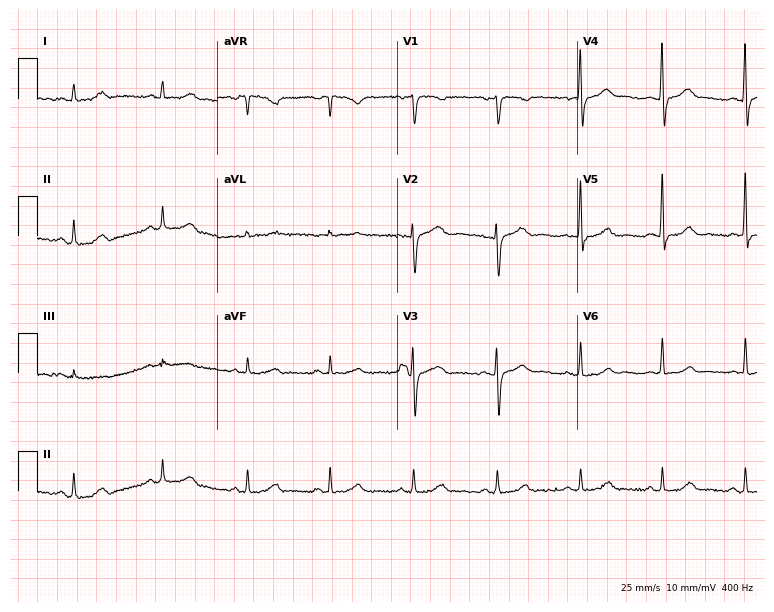
12-lead ECG from a woman, 46 years old. Labelled as a normal ECG.